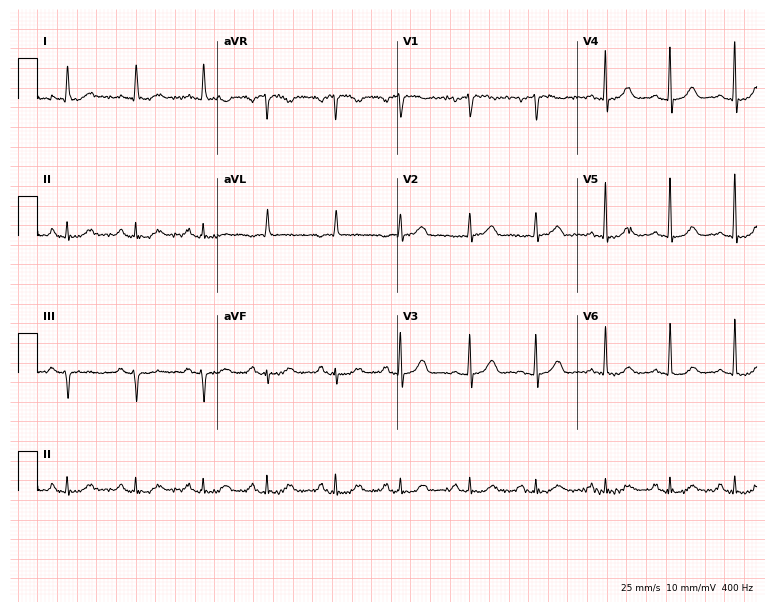
Resting 12-lead electrocardiogram (7.3-second recording at 400 Hz). Patient: a 74-year-old female. None of these six findings is recorded: first-degree AV block, right bundle branch block, left bundle branch block, sinus bradycardia, atrial fibrillation, sinus tachycardia. Findings outside these six are not listed.